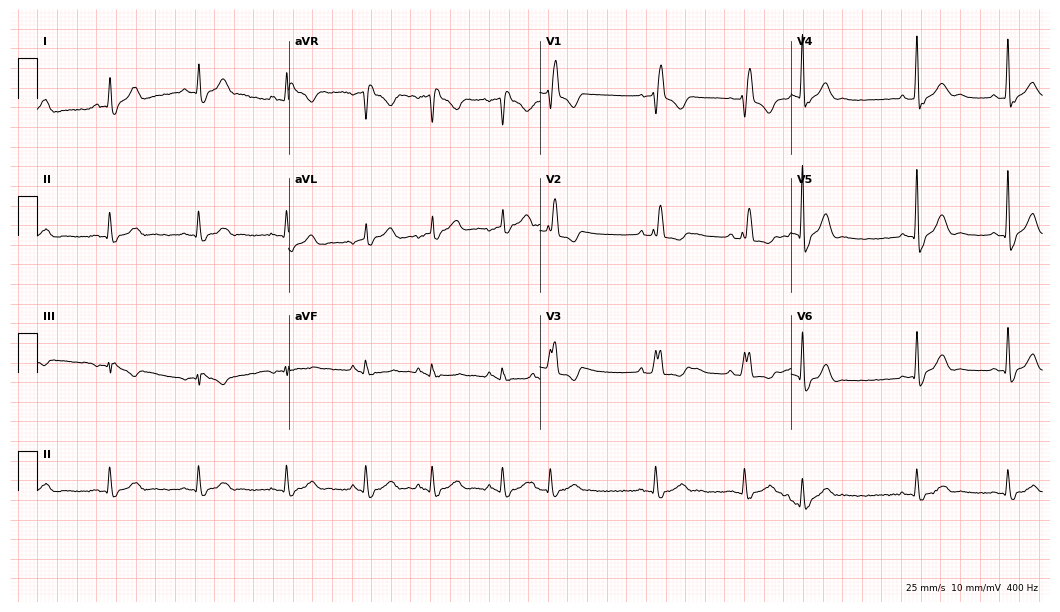
ECG — a male, 79 years old. Screened for six findings — first-degree AV block, right bundle branch block (RBBB), left bundle branch block (LBBB), sinus bradycardia, atrial fibrillation (AF), sinus tachycardia — none is recorded.